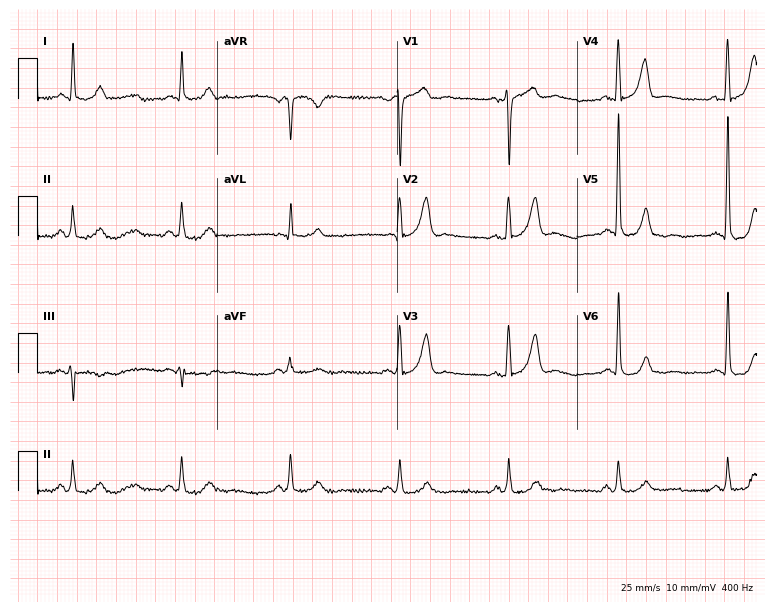
12-lead ECG from a male, 71 years old. Screened for six findings — first-degree AV block, right bundle branch block, left bundle branch block, sinus bradycardia, atrial fibrillation, sinus tachycardia — none is recorded. Findings outside these six are not listed.